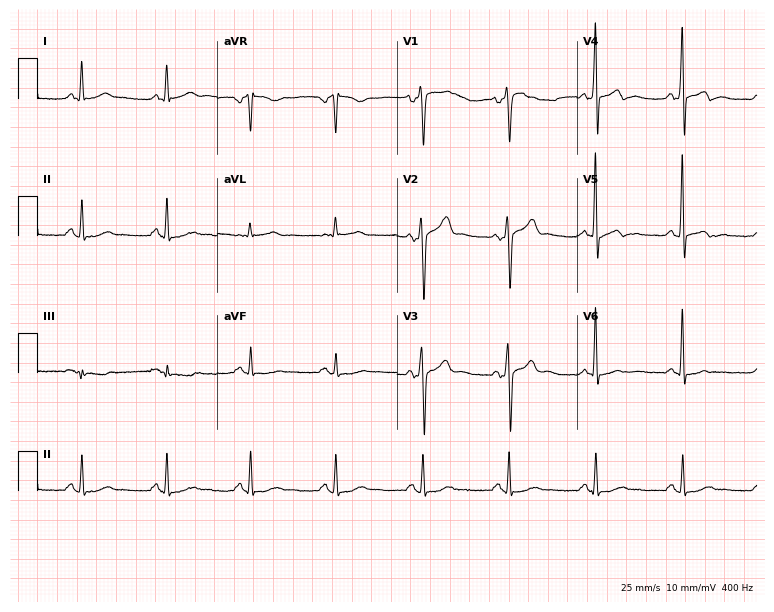
ECG — a 60-year-old male. Screened for six findings — first-degree AV block, right bundle branch block (RBBB), left bundle branch block (LBBB), sinus bradycardia, atrial fibrillation (AF), sinus tachycardia — none is recorded.